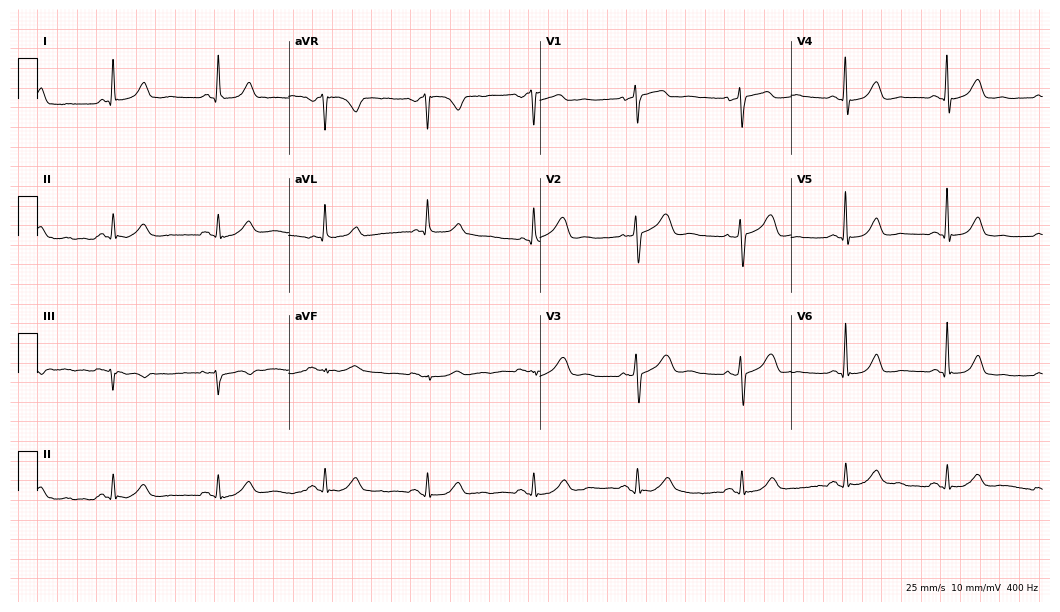
ECG — a woman, 71 years old. Labelled as a normal ECG.